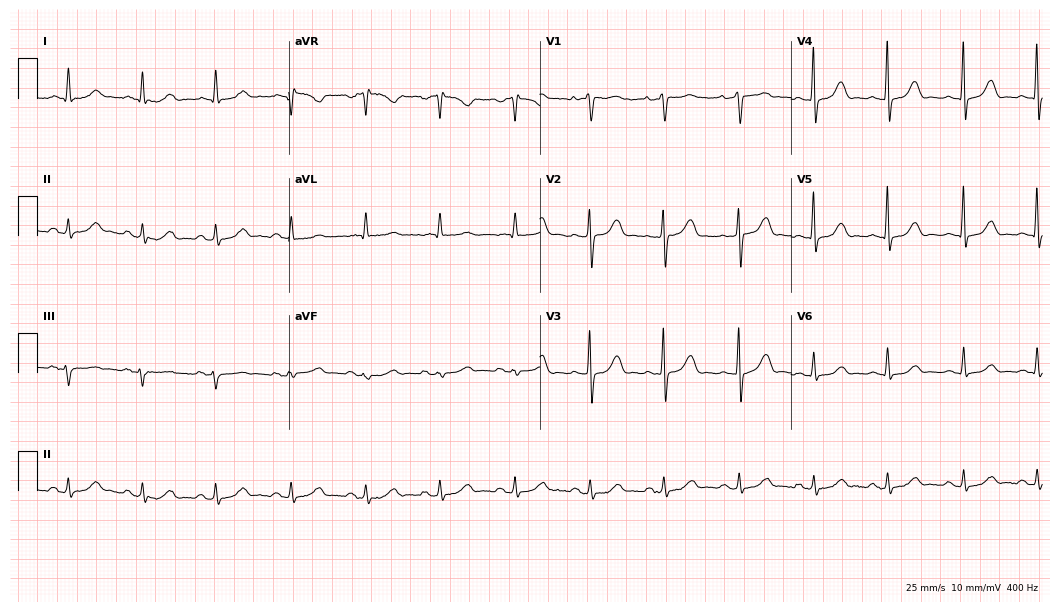
12-lead ECG from a woman, 75 years old (10.2-second recording at 400 Hz). Recorded interpretation: within normal limits.